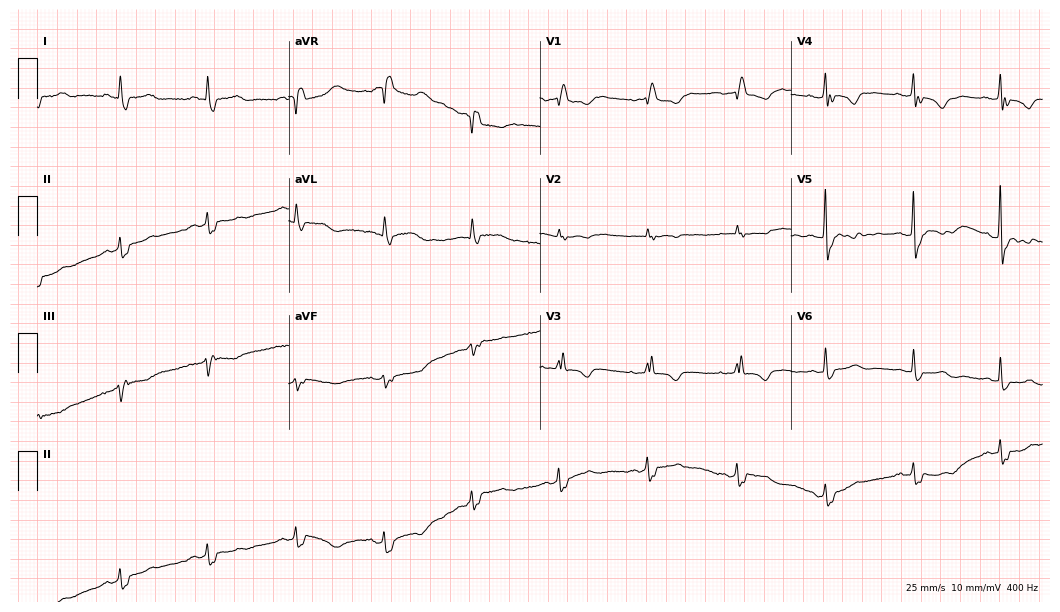
ECG — a 77-year-old woman. Screened for six findings — first-degree AV block, right bundle branch block, left bundle branch block, sinus bradycardia, atrial fibrillation, sinus tachycardia — none is recorded. Findings outside these six are not listed.